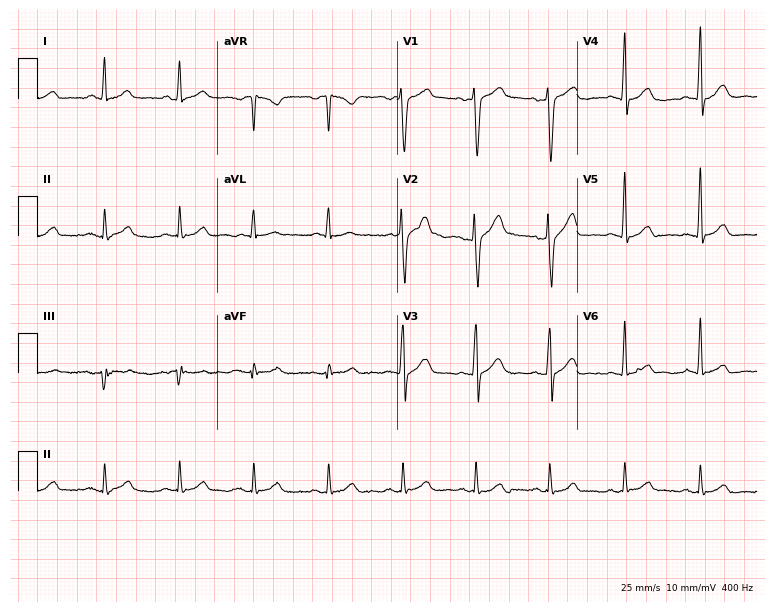
Electrocardiogram, a male patient, 40 years old. Overall reading on record: normal ECG.